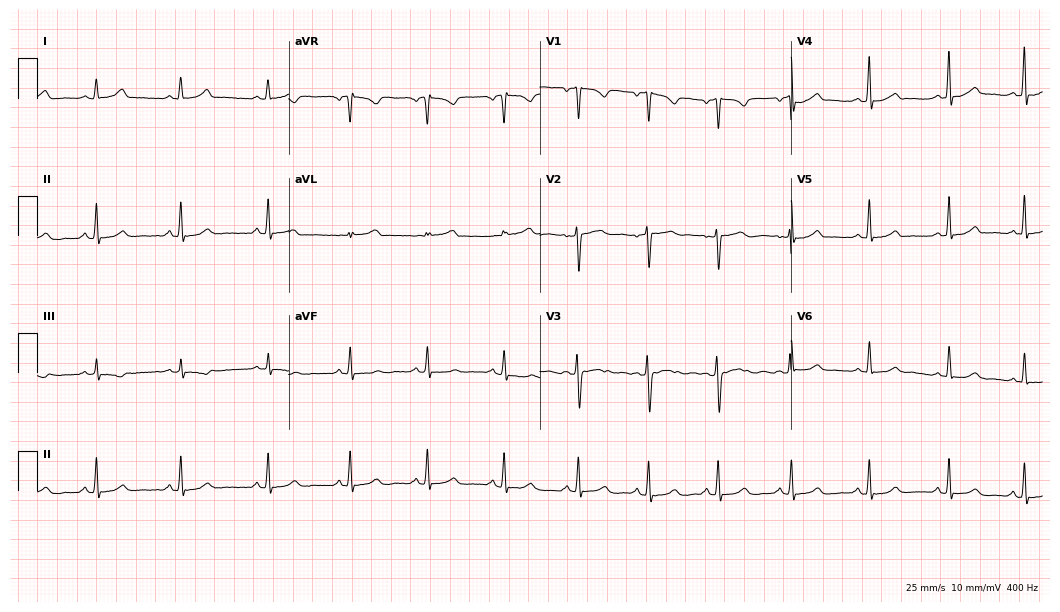
Electrocardiogram (10.2-second recording at 400 Hz), a 30-year-old male. Overall reading on record: normal ECG.